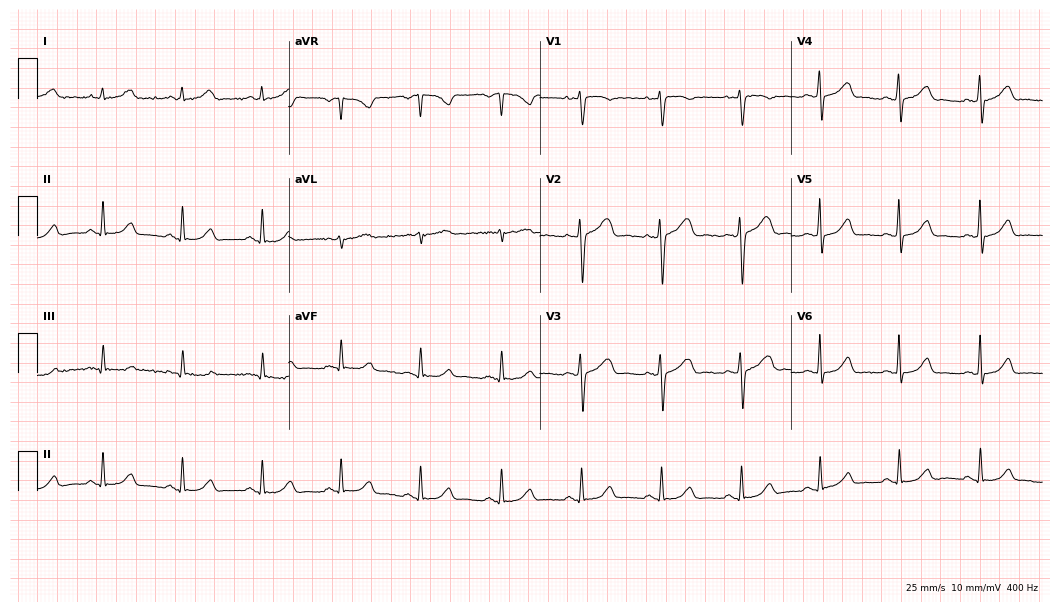
12-lead ECG from a female, 39 years old (10.2-second recording at 400 Hz). Recorded interpretation: within normal limits.